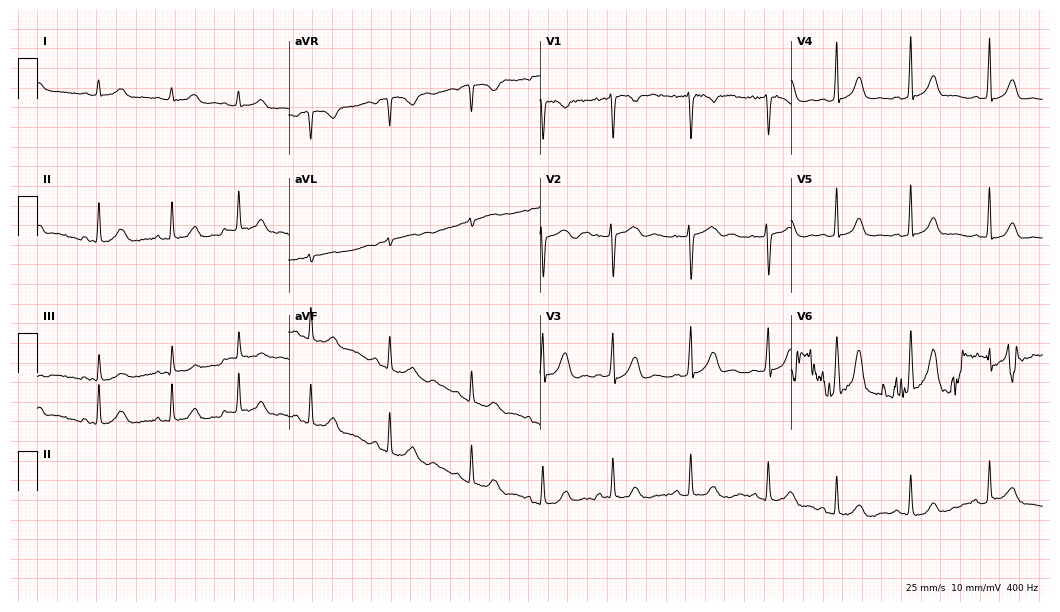
12-lead ECG from a female, 22 years old. Screened for six findings — first-degree AV block, right bundle branch block, left bundle branch block, sinus bradycardia, atrial fibrillation, sinus tachycardia — none is recorded.